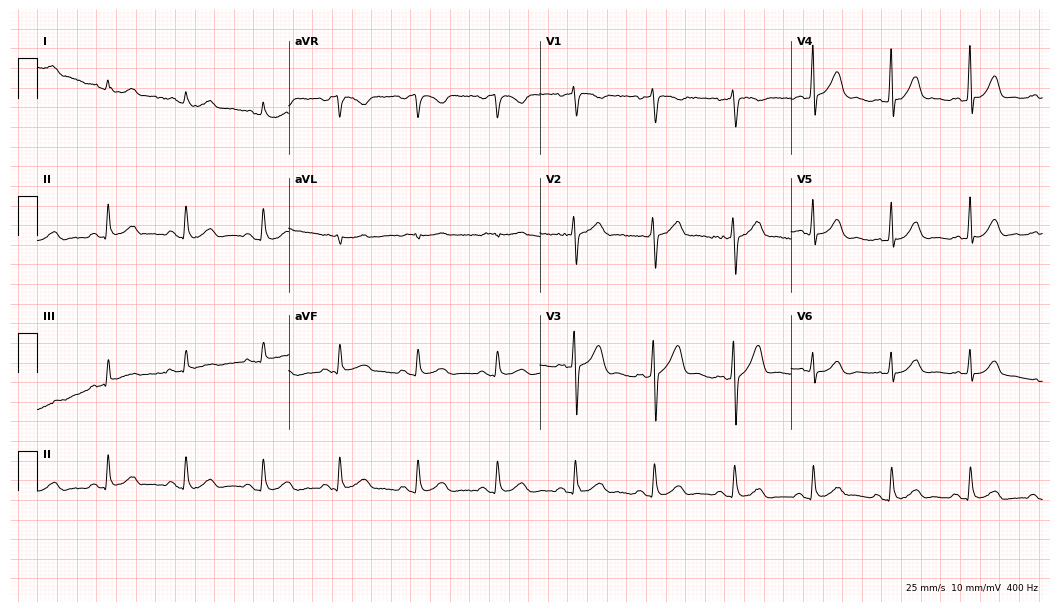
12-lead ECG (10.2-second recording at 400 Hz) from a man, 51 years old. Screened for six findings — first-degree AV block, right bundle branch block, left bundle branch block, sinus bradycardia, atrial fibrillation, sinus tachycardia — none is recorded.